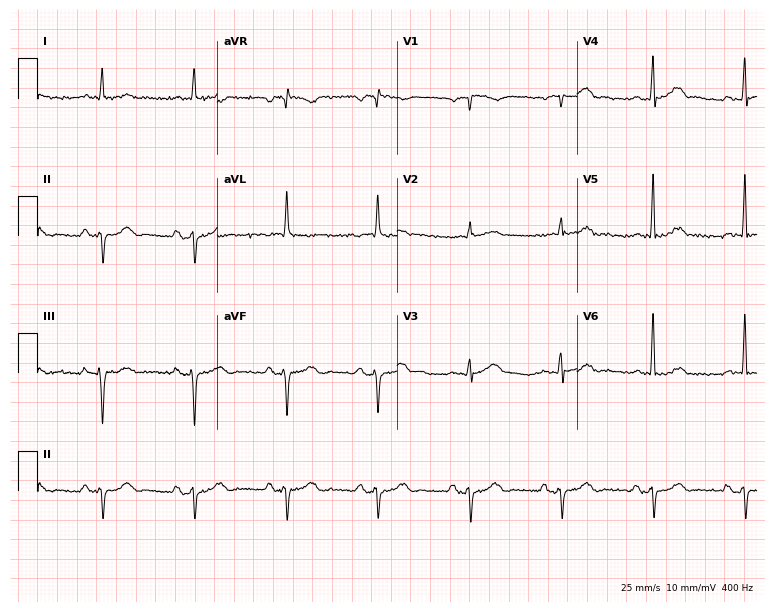
Resting 12-lead electrocardiogram. Patient: a male, 85 years old. None of these six findings is recorded: first-degree AV block, right bundle branch block, left bundle branch block, sinus bradycardia, atrial fibrillation, sinus tachycardia.